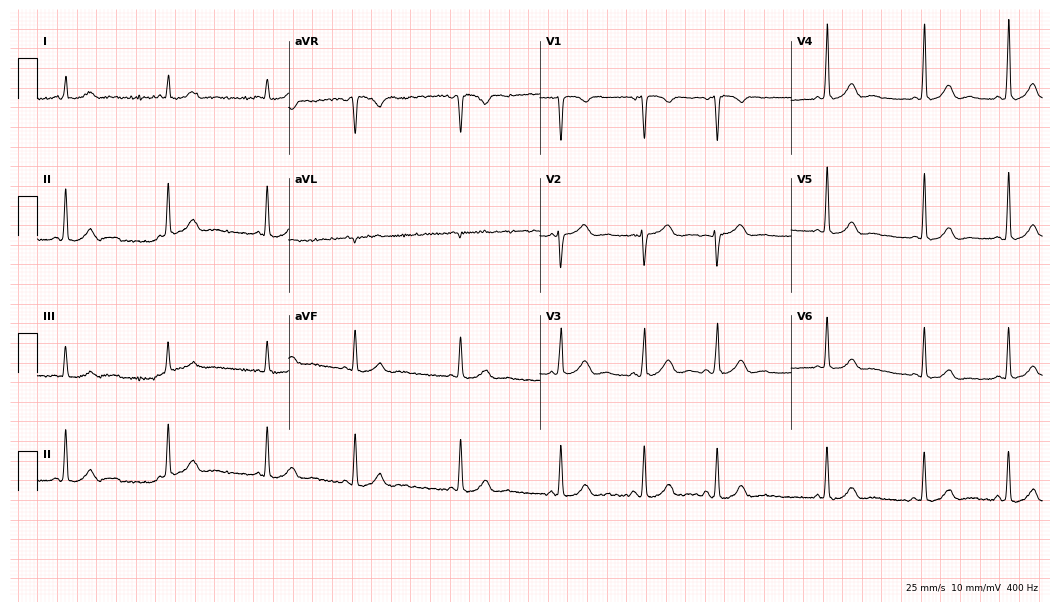
Standard 12-lead ECG recorded from a 28-year-old woman. None of these six findings is recorded: first-degree AV block, right bundle branch block, left bundle branch block, sinus bradycardia, atrial fibrillation, sinus tachycardia.